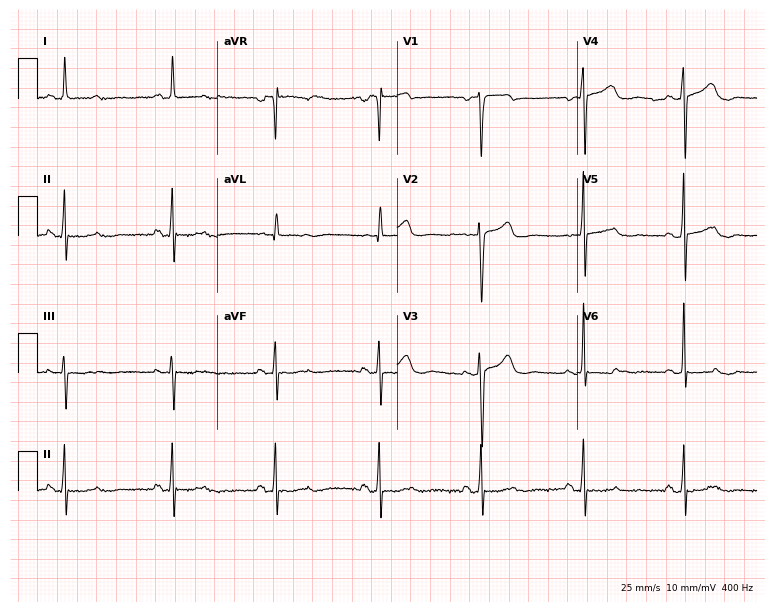
Standard 12-lead ECG recorded from a female, 53 years old (7.3-second recording at 400 Hz). Read as a normal ECG.